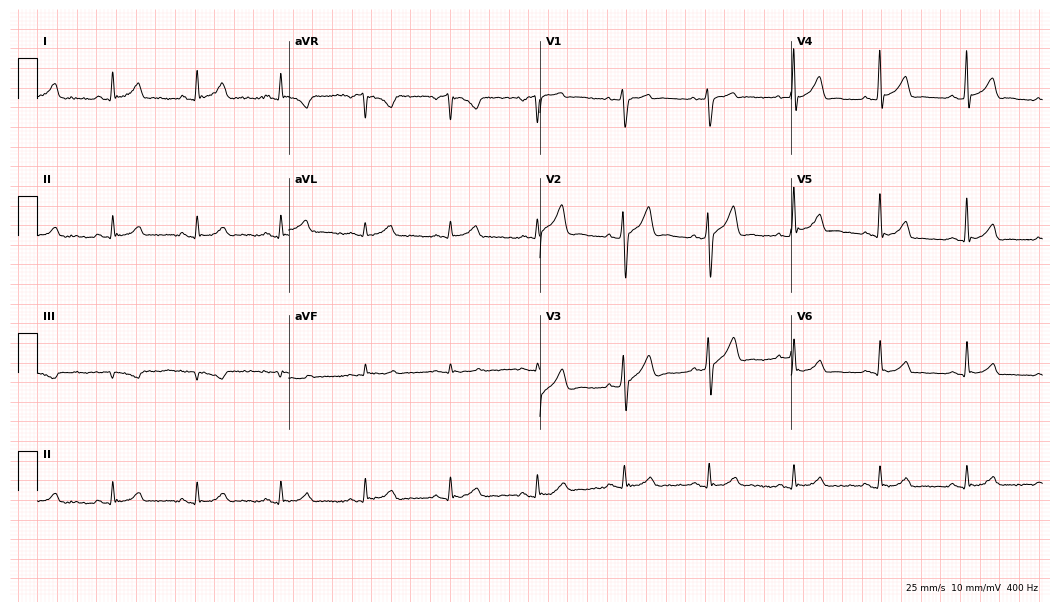
Electrocardiogram (10.2-second recording at 400 Hz), a male, 48 years old. Overall reading on record: normal ECG.